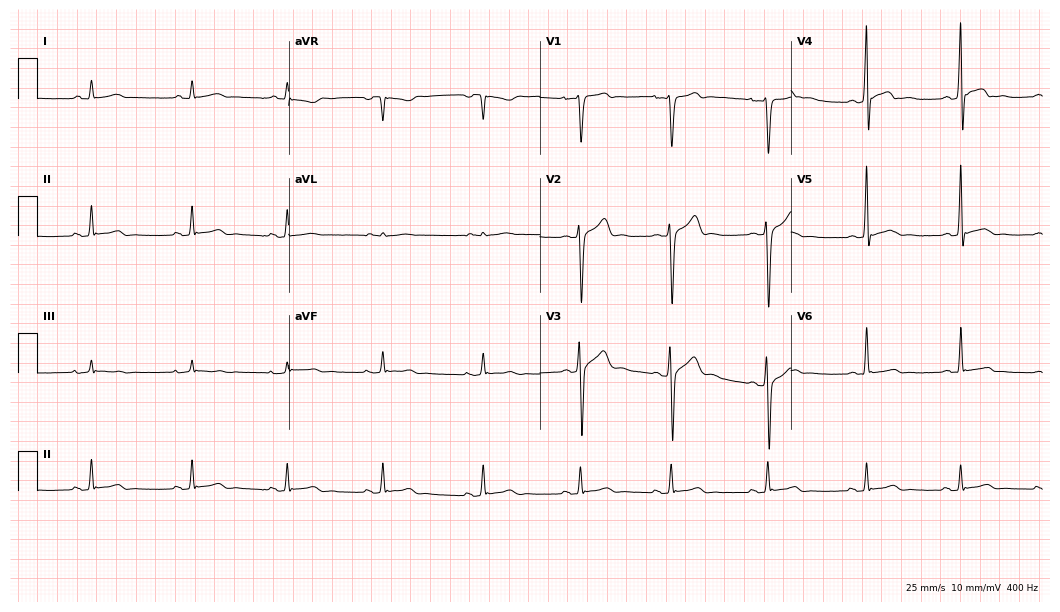
Standard 12-lead ECG recorded from a man, 21 years old (10.2-second recording at 400 Hz). None of these six findings is recorded: first-degree AV block, right bundle branch block, left bundle branch block, sinus bradycardia, atrial fibrillation, sinus tachycardia.